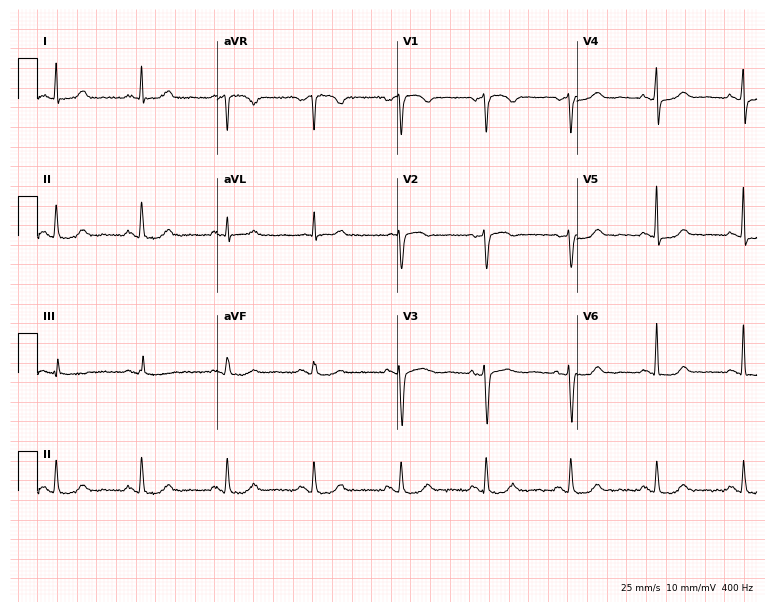
Resting 12-lead electrocardiogram. Patient: a female, 53 years old. Read as a normal ECG.